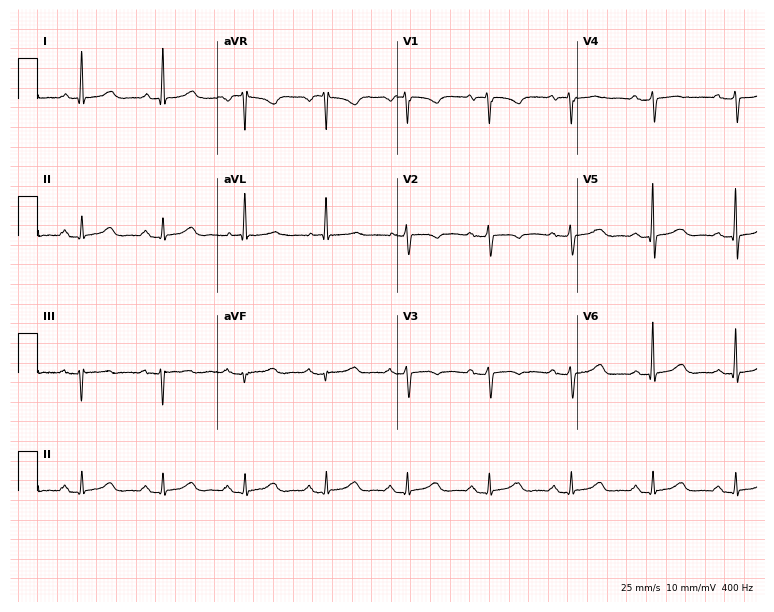
ECG (7.3-second recording at 400 Hz) — a female patient, 78 years old. Labelled as a normal ECG.